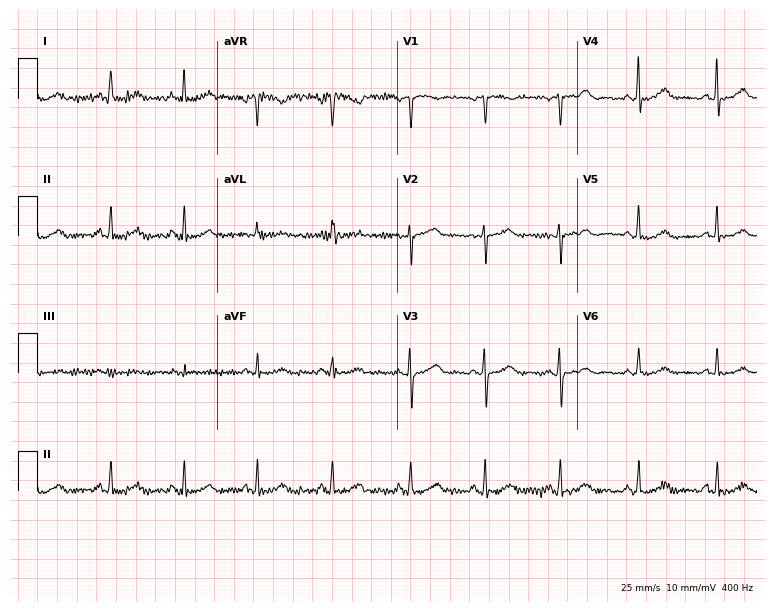
12-lead ECG (7.3-second recording at 400 Hz) from a 62-year-old female patient. Screened for six findings — first-degree AV block, right bundle branch block, left bundle branch block, sinus bradycardia, atrial fibrillation, sinus tachycardia — none is recorded.